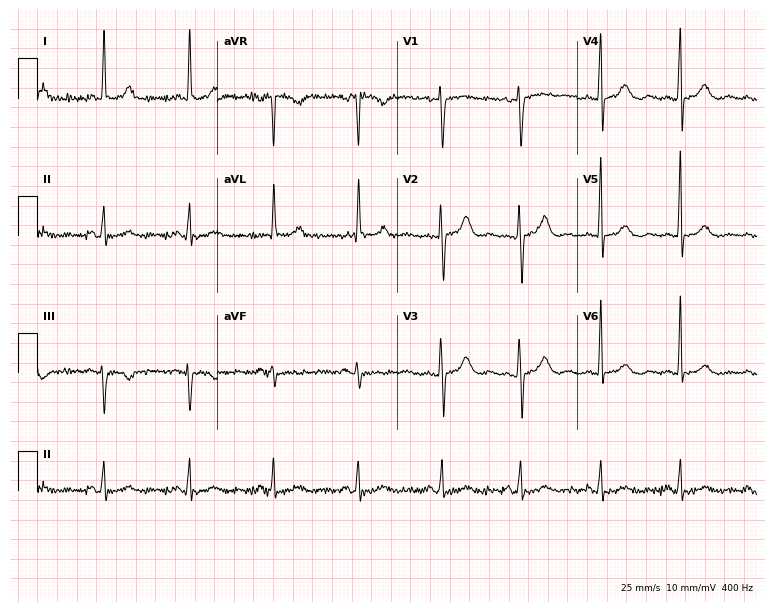
Resting 12-lead electrocardiogram. Patient: a woman, 47 years old. None of these six findings is recorded: first-degree AV block, right bundle branch block, left bundle branch block, sinus bradycardia, atrial fibrillation, sinus tachycardia.